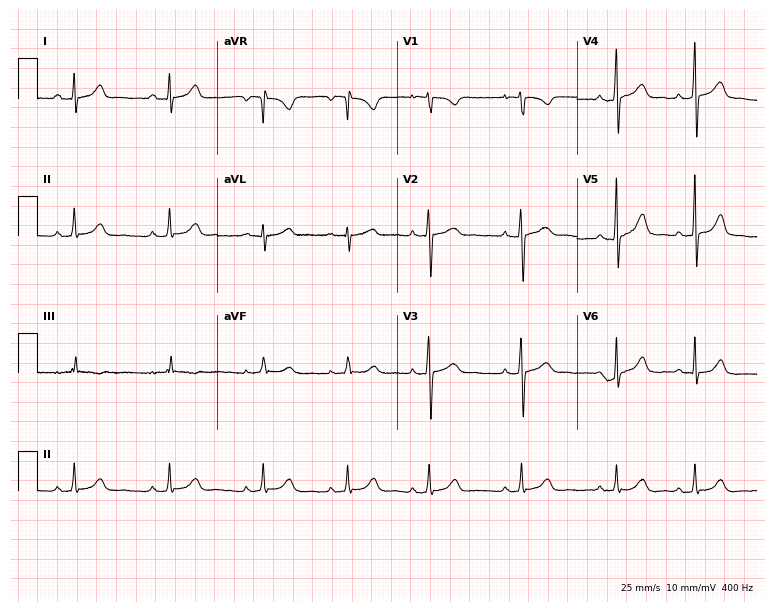
Resting 12-lead electrocardiogram. Patient: a female, 22 years old. Read as a normal ECG.